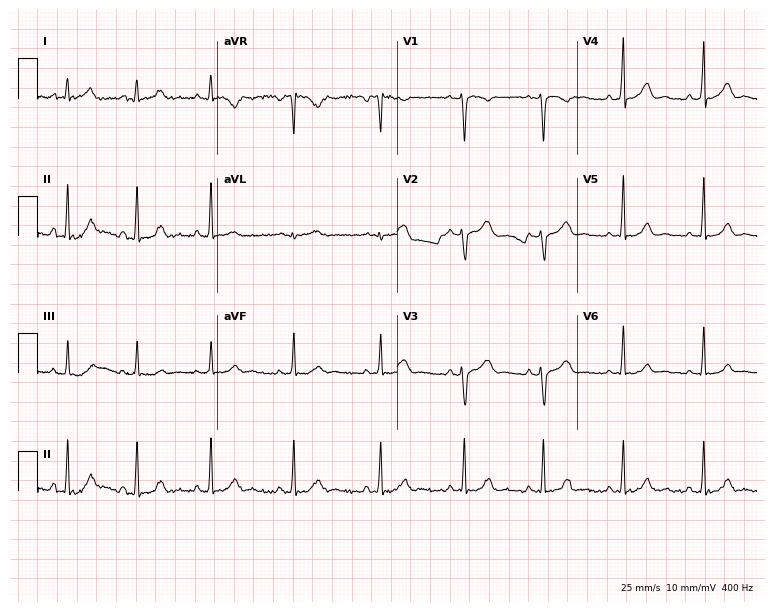
Electrocardiogram (7.3-second recording at 400 Hz), a 36-year-old woman. Overall reading on record: normal ECG.